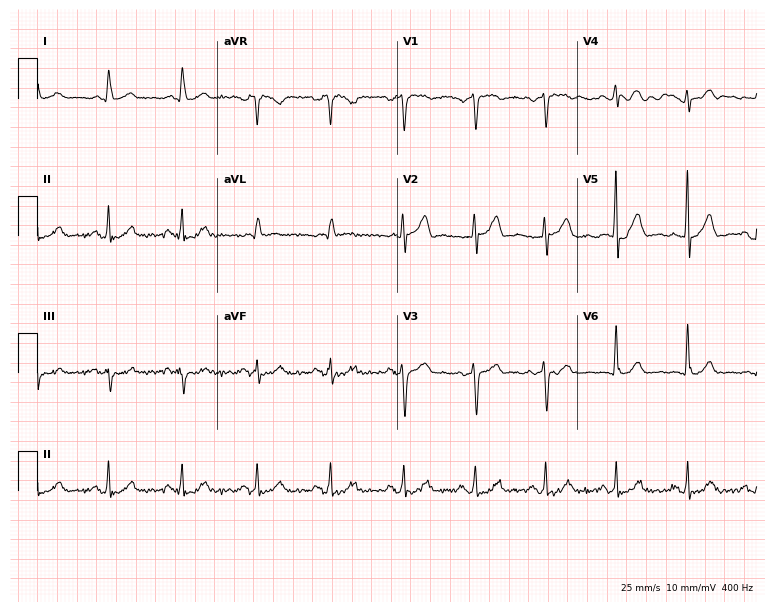
ECG (7.3-second recording at 400 Hz) — a man, 66 years old. Labelled as a normal ECG.